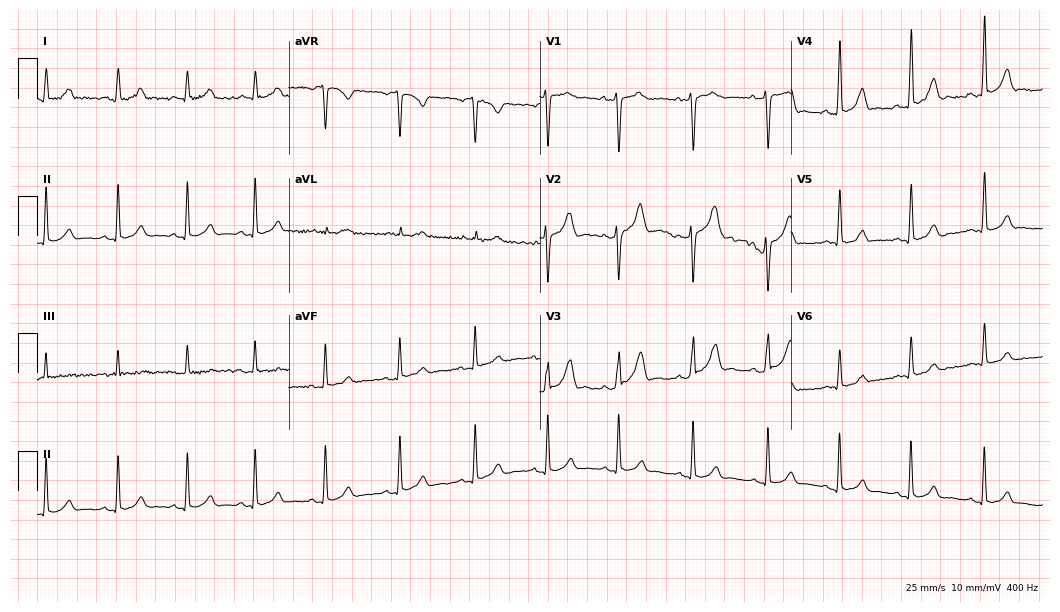
12-lead ECG from a male patient, 18 years old. No first-degree AV block, right bundle branch block (RBBB), left bundle branch block (LBBB), sinus bradycardia, atrial fibrillation (AF) or sinus tachycardia recorded for this tracing. Findings outside these six are not listed.